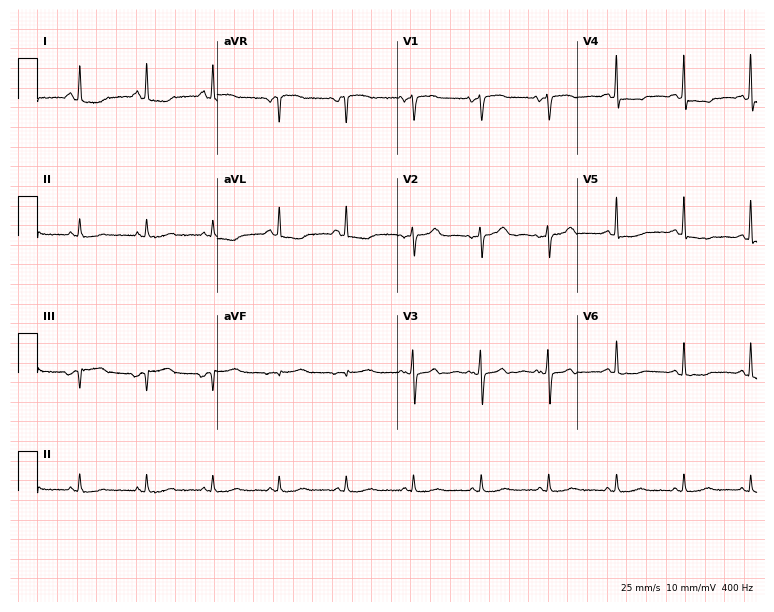
Standard 12-lead ECG recorded from a woman, 85 years old. None of these six findings is recorded: first-degree AV block, right bundle branch block, left bundle branch block, sinus bradycardia, atrial fibrillation, sinus tachycardia. Only these six findings were labelled.